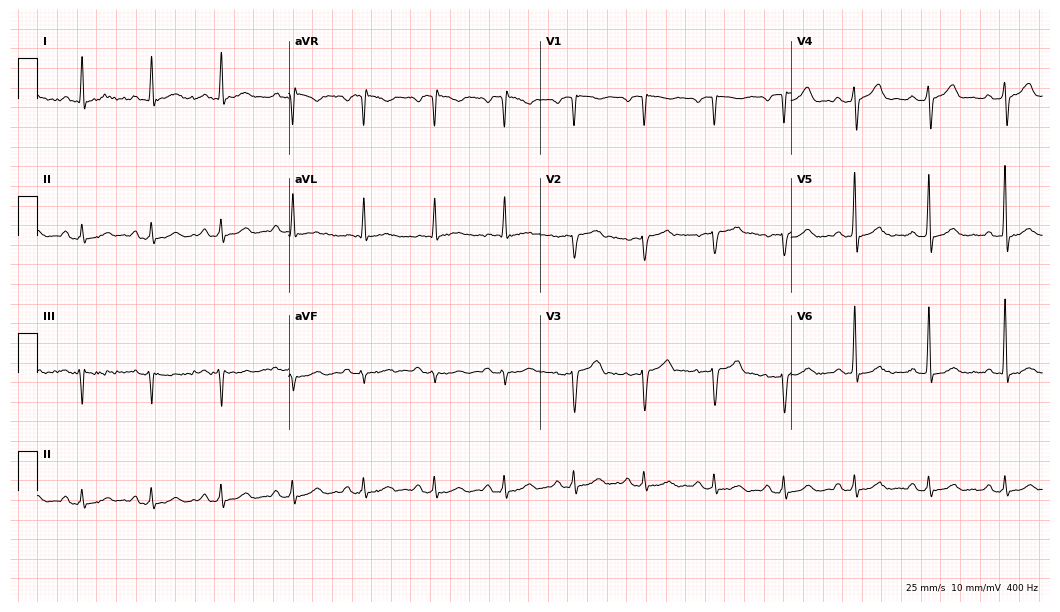
12-lead ECG from a male, 52 years old. Screened for six findings — first-degree AV block, right bundle branch block (RBBB), left bundle branch block (LBBB), sinus bradycardia, atrial fibrillation (AF), sinus tachycardia — none is recorded.